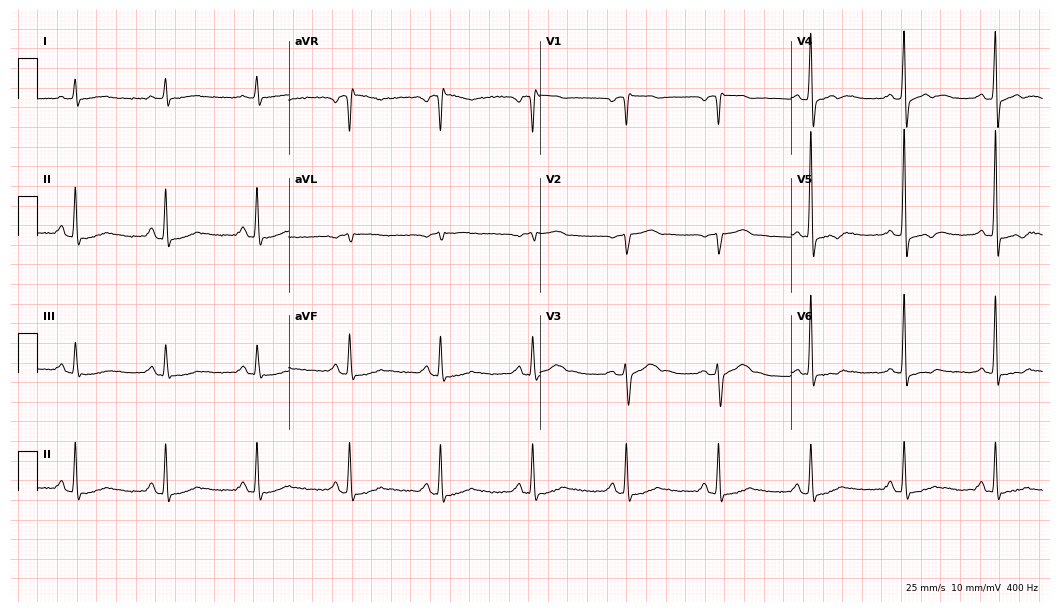
Standard 12-lead ECG recorded from a man, 72 years old (10.2-second recording at 400 Hz). None of these six findings is recorded: first-degree AV block, right bundle branch block (RBBB), left bundle branch block (LBBB), sinus bradycardia, atrial fibrillation (AF), sinus tachycardia. Only these six findings were labelled.